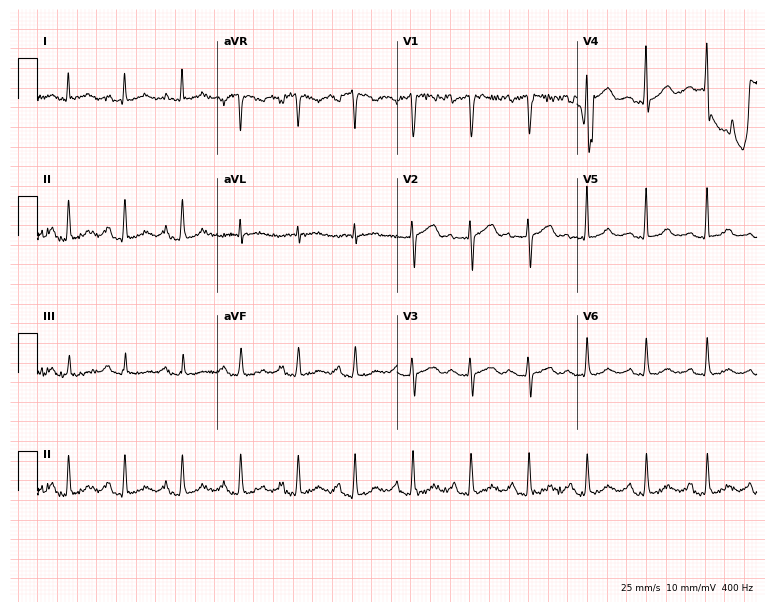
Electrocardiogram (7.3-second recording at 400 Hz), a 55-year-old woman. Interpretation includes sinus tachycardia (a sinus rate of 100 beats per minute or more).